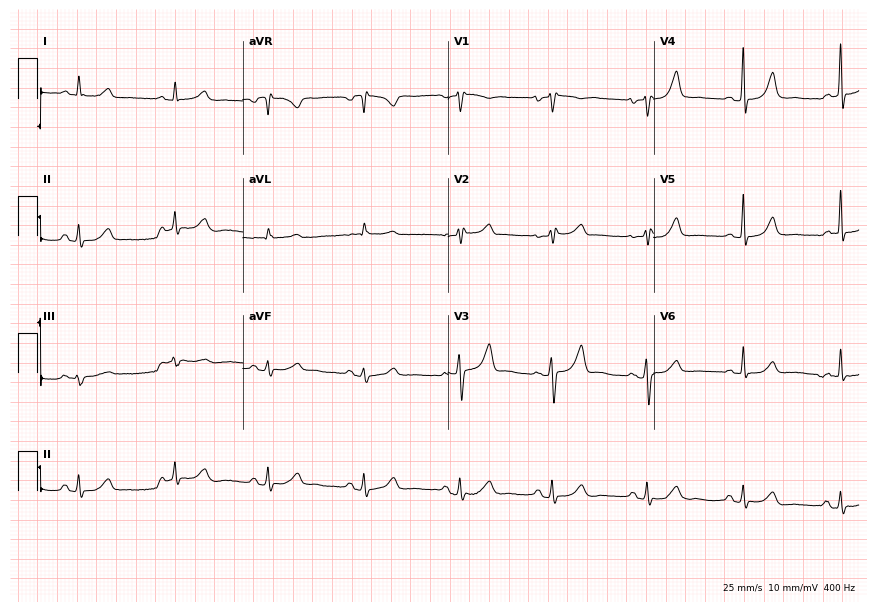
ECG (8.4-second recording at 400 Hz) — a 74-year-old female patient. Screened for six findings — first-degree AV block, right bundle branch block, left bundle branch block, sinus bradycardia, atrial fibrillation, sinus tachycardia — none is recorded.